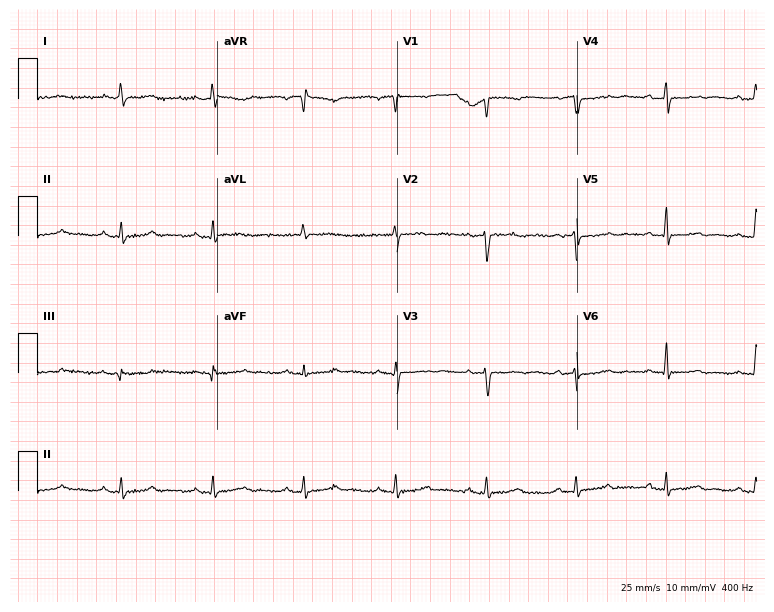
12-lead ECG from a 54-year-old female. No first-degree AV block, right bundle branch block, left bundle branch block, sinus bradycardia, atrial fibrillation or sinus tachycardia recorded for this tracing. Findings outside these six are not listed.